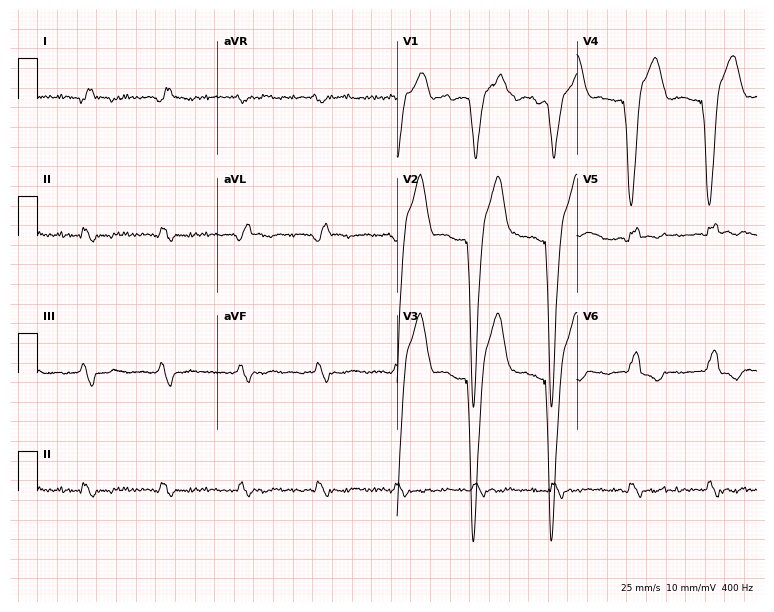
12-lead ECG (7.3-second recording at 400 Hz) from a 71-year-old male patient. Screened for six findings — first-degree AV block, right bundle branch block, left bundle branch block, sinus bradycardia, atrial fibrillation, sinus tachycardia — none is recorded.